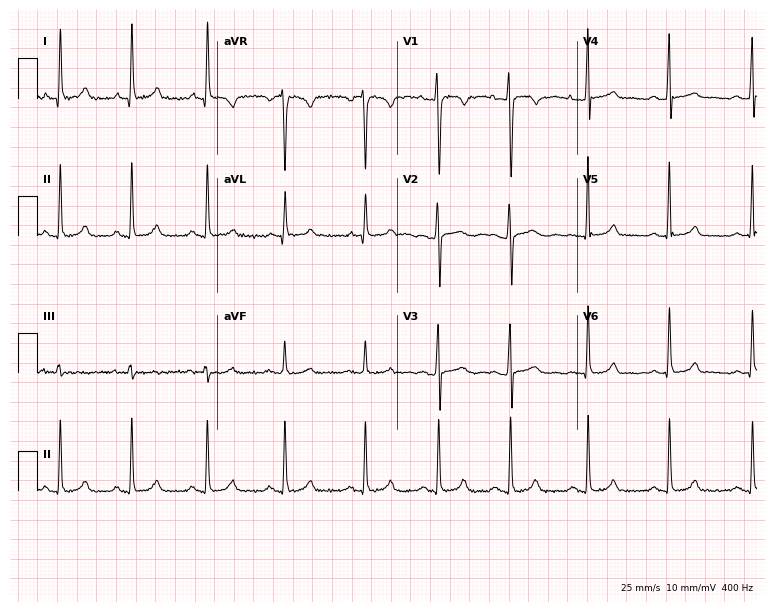
Standard 12-lead ECG recorded from a female, 31 years old. None of these six findings is recorded: first-degree AV block, right bundle branch block, left bundle branch block, sinus bradycardia, atrial fibrillation, sinus tachycardia. Findings outside these six are not listed.